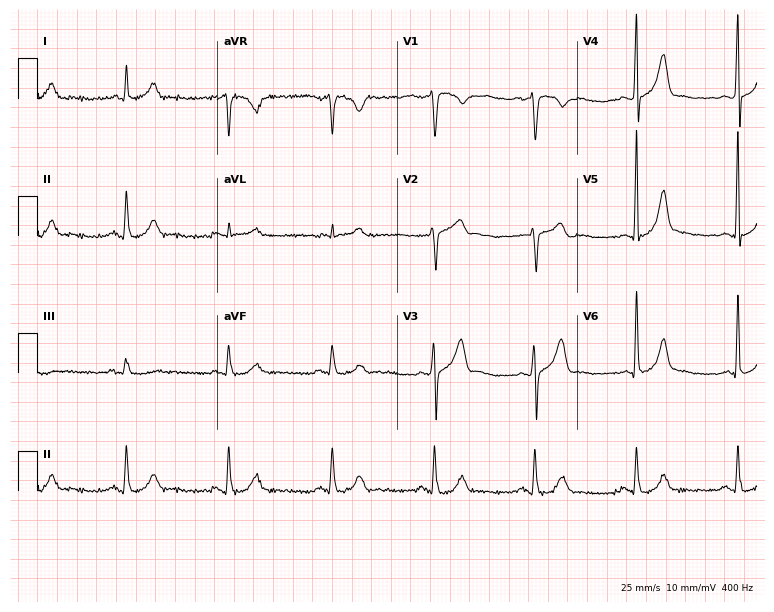
Electrocardiogram (7.3-second recording at 400 Hz), a 56-year-old man. Of the six screened findings (first-degree AV block, right bundle branch block (RBBB), left bundle branch block (LBBB), sinus bradycardia, atrial fibrillation (AF), sinus tachycardia), none is recorded.